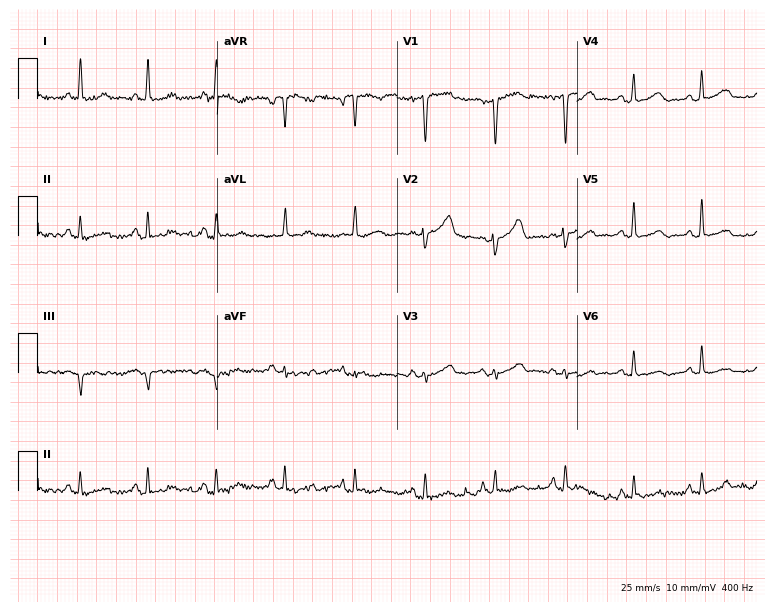
12-lead ECG from a 78-year-old female (7.3-second recording at 400 Hz). No first-degree AV block, right bundle branch block (RBBB), left bundle branch block (LBBB), sinus bradycardia, atrial fibrillation (AF) or sinus tachycardia recorded for this tracing. Other findings, if any, are not listed.